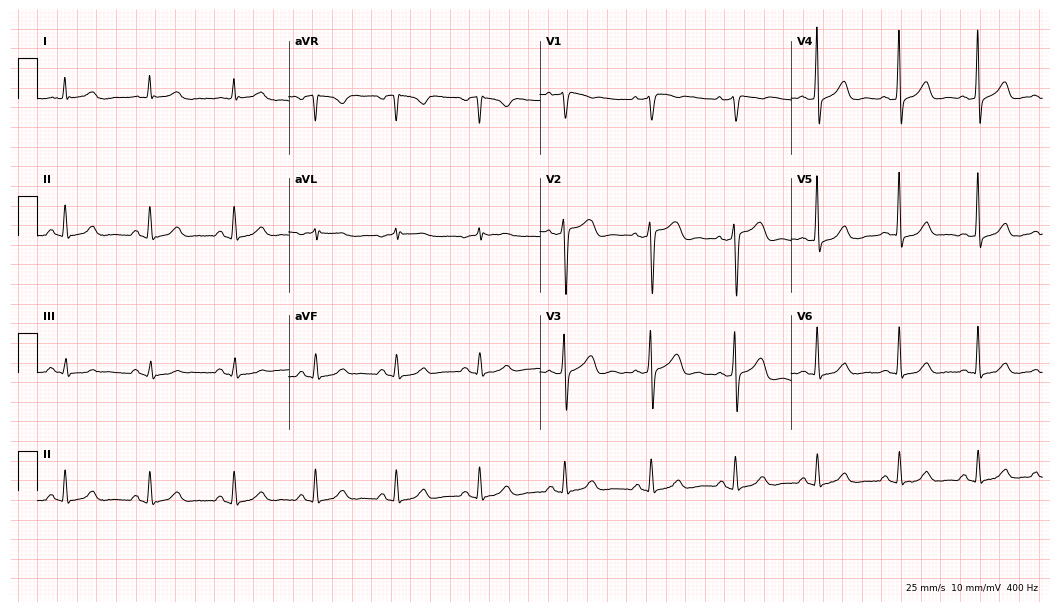
Resting 12-lead electrocardiogram (10.2-second recording at 400 Hz). Patient: a 61-year-old male. Read as a normal ECG.